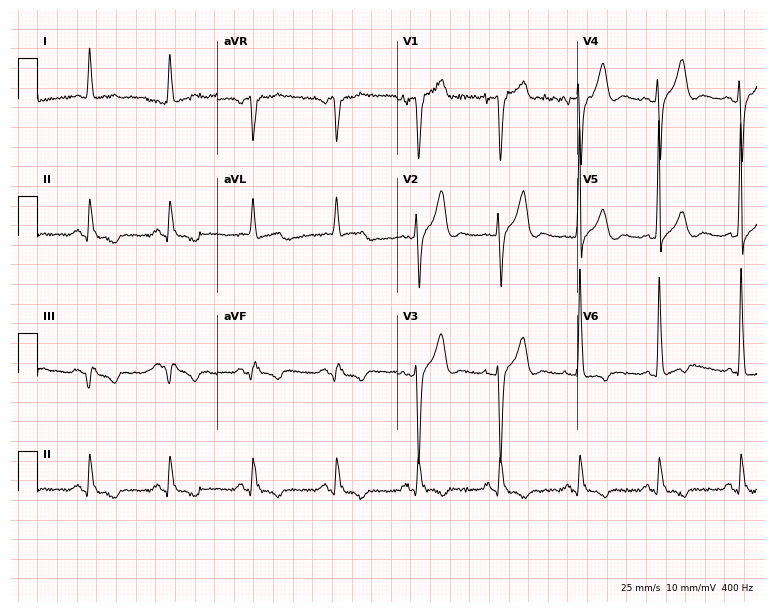
12-lead ECG from an 80-year-old man. Screened for six findings — first-degree AV block, right bundle branch block (RBBB), left bundle branch block (LBBB), sinus bradycardia, atrial fibrillation (AF), sinus tachycardia — none is recorded. Only these six findings were labelled.